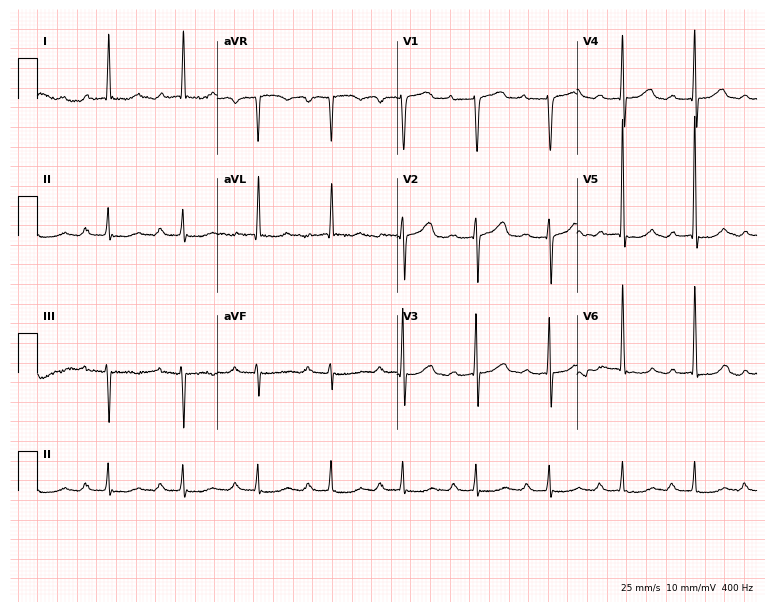
Electrocardiogram, a woman, 81 years old. Interpretation includes first-degree AV block.